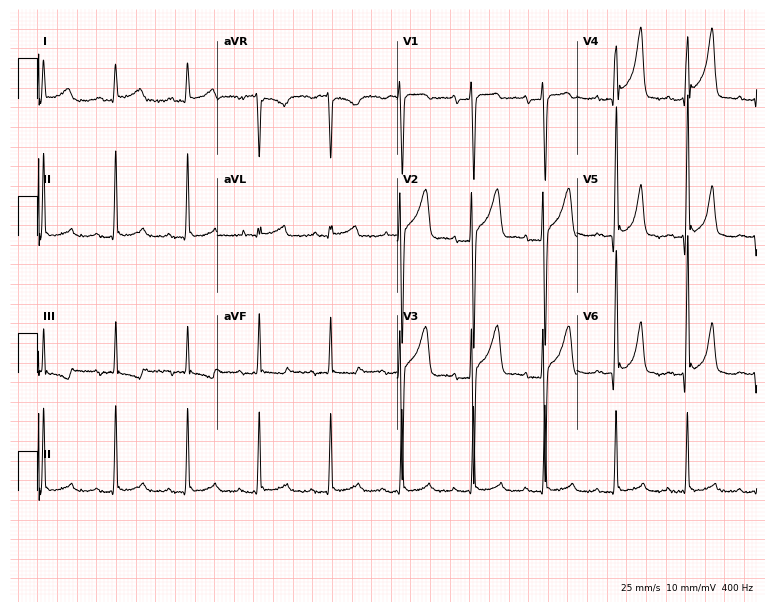
Standard 12-lead ECG recorded from a man, 49 years old (7.3-second recording at 400 Hz). None of these six findings is recorded: first-degree AV block, right bundle branch block (RBBB), left bundle branch block (LBBB), sinus bradycardia, atrial fibrillation (AF), sinus tachycardia. Only these six findings were labelled.